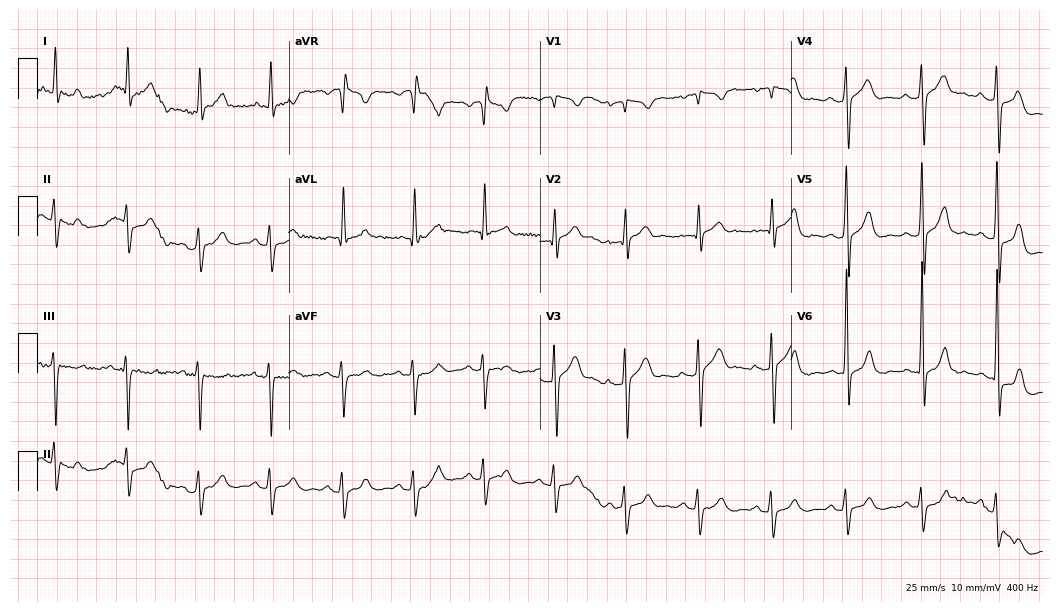
ECG (10.2-second recording at 400 Hz) — a male, 58 years old. Labelled as a normal ECG.